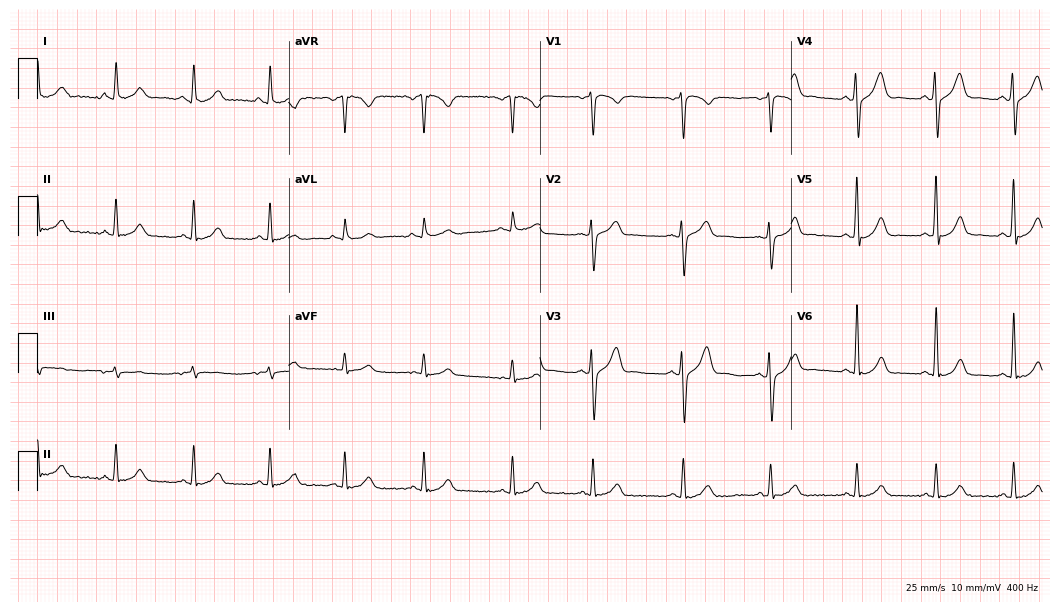
Electrocardiogram, a 34-year-old male. Of the six screened findings (first-degree AV block, right bundle branch block (RBBB), left bundle branch block (LBBB), sinus bradycardia, atrial fibrillation (AF), sinus tachycardia), none is recorded. Findings outside these six are not listed.